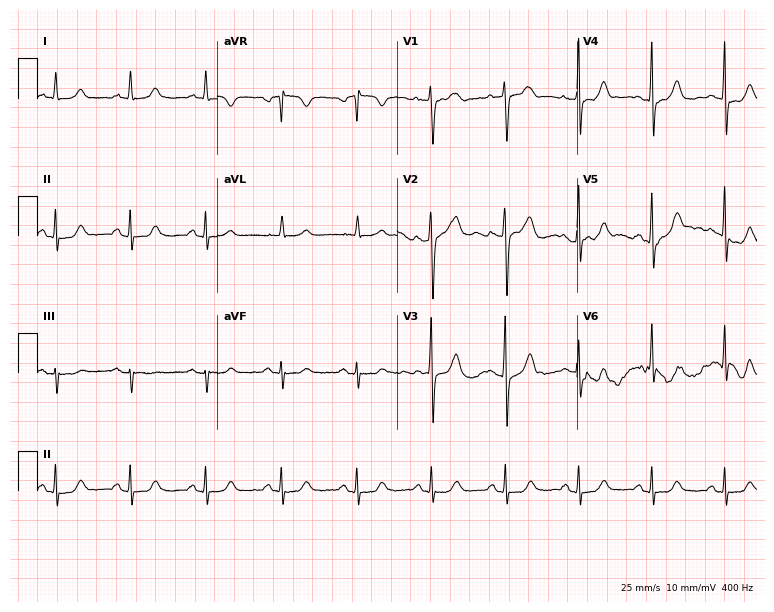
12-lead ECG from a female patient, 59 years old (7.3-second recording at 400 Hz). Recorded interpretation: within normal limits.